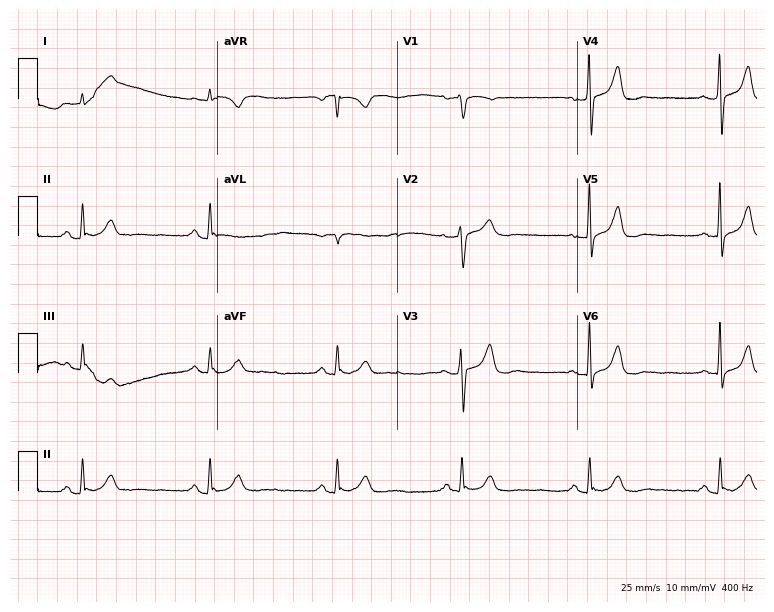
Standard 12-lead ECG recorded from a man, 79 years old (7.3-second recording at 400 Hz). None of these six findings is recorded: first-degree AV block, right bundle branch block, left bundle branch block, sinus bradycardia, atrial fibrillation, sinus tachycardia. Findings outside these six are not listed.